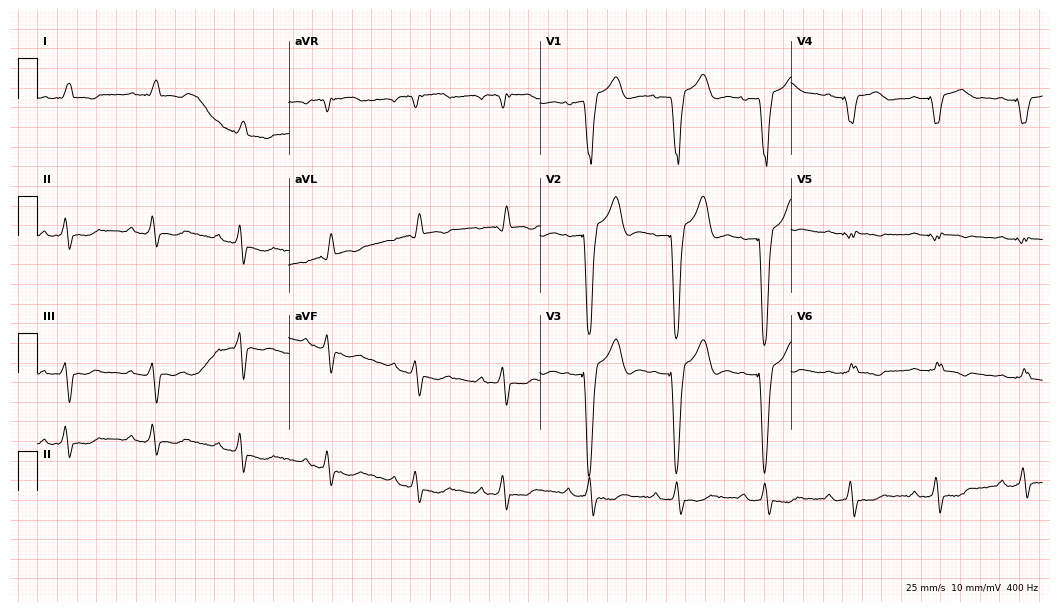
12-lead ECG from a woman, 80 years old. Screened for six findings — first-degree AV block, right bundle branch block (RBBB), left bundle branch block (LBBB), sinus bradycardia, atrial fibrillation (AF), sinus tachycardia — none is recorded. Only these six findings were labelled.